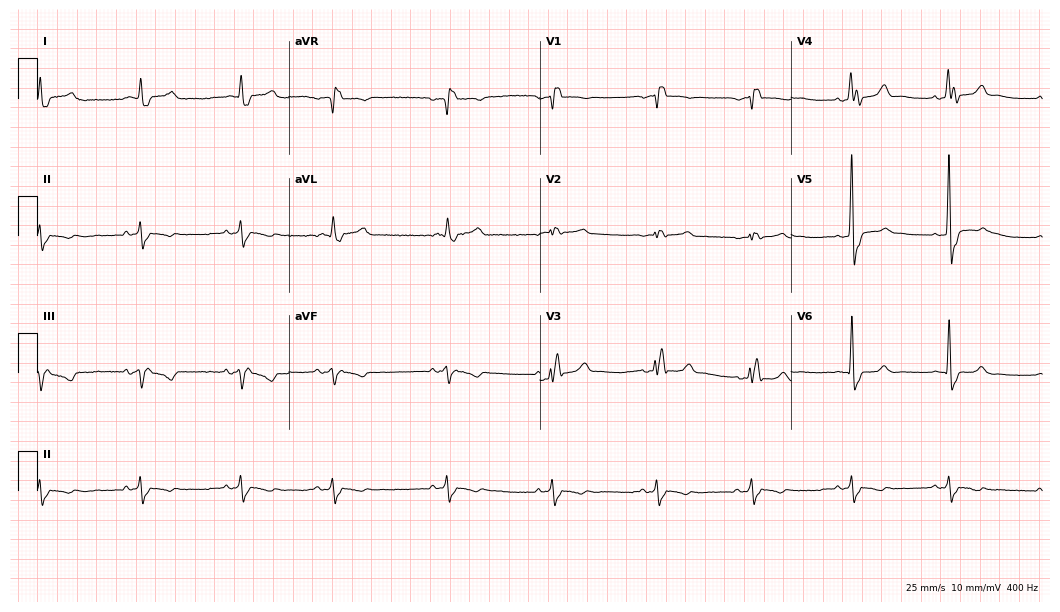
Electrocardiogram, a male, 70 years old. Interpretation includes right bundle branch block.